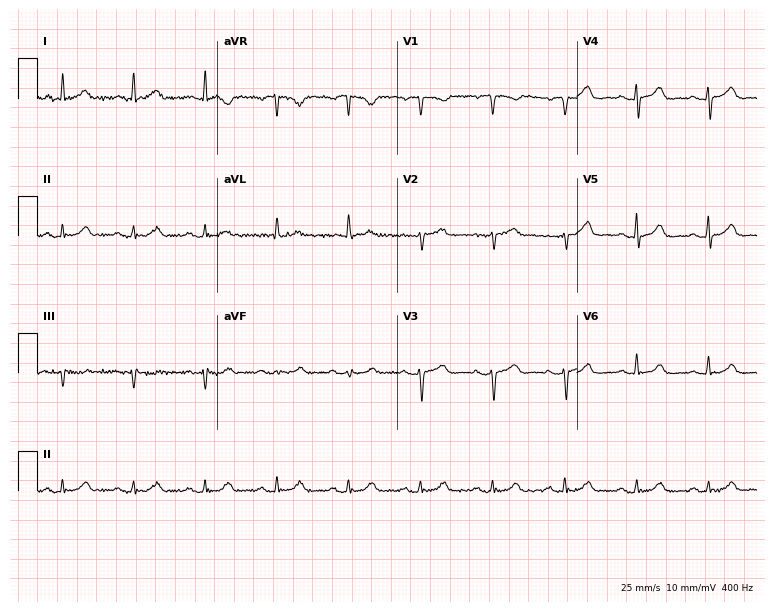
Resting 12-lead electrocardiogram. Patient: a female, 85 years old. Read as a normal ECG.